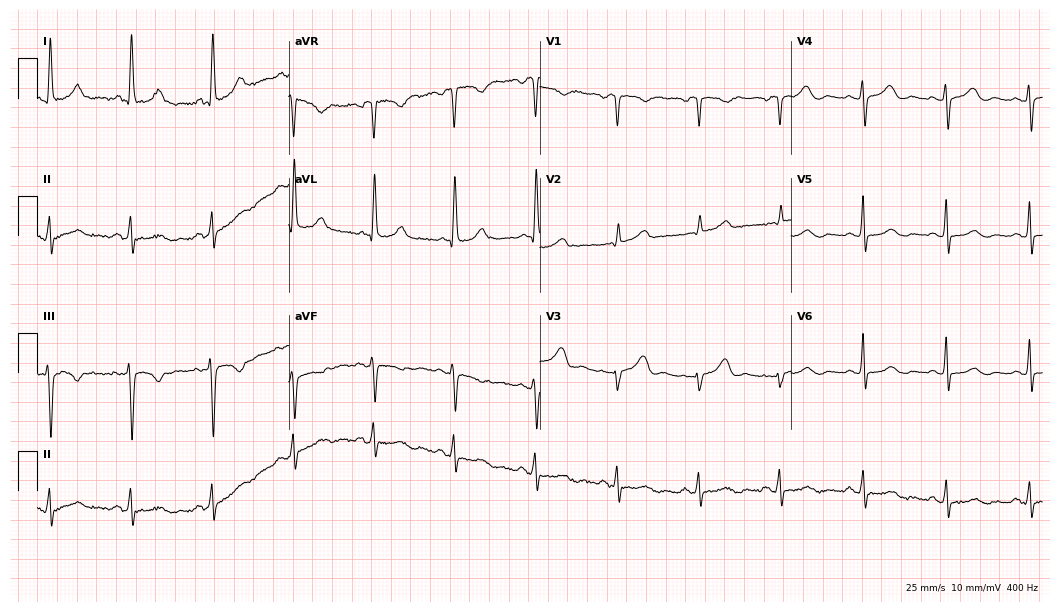
Standard 12-lead ECG recorded from a 73-year-old female patient. None of these six findings is recorded: first-degree AV block, right bundle branch block, left bundle branch block, sinus bradycardia, atrial fibrillation, sinus tachycardia.